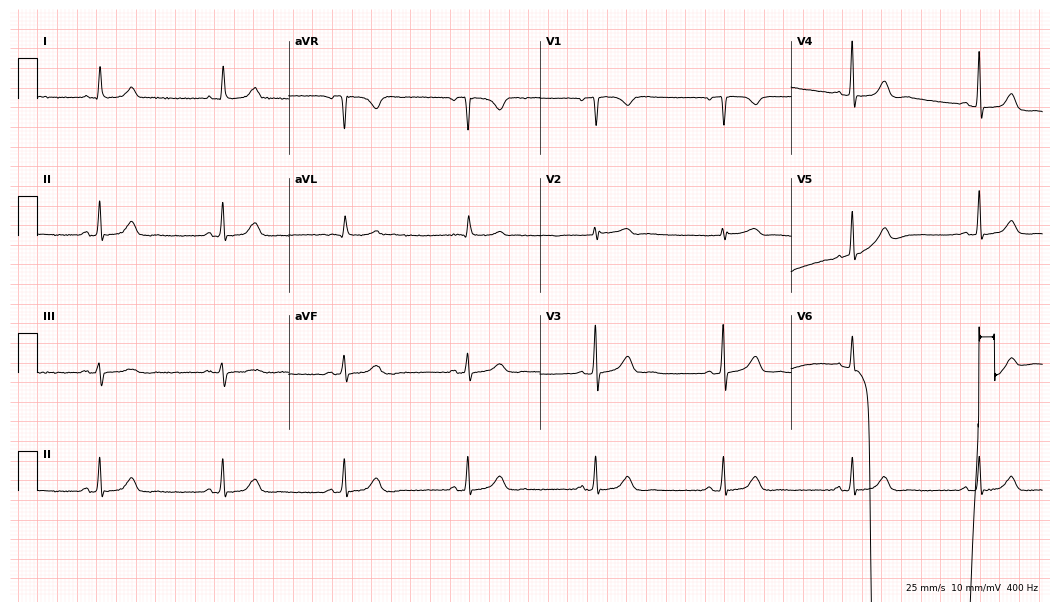
12-lead ECG from a woman, 64 years old. No first-degree AV block, right bundle branch block, left bundle branch block, sinus bradycardia, atrial fibrillation or sinus tachycardia recorded for this tracing. Only these six findings were labelled.